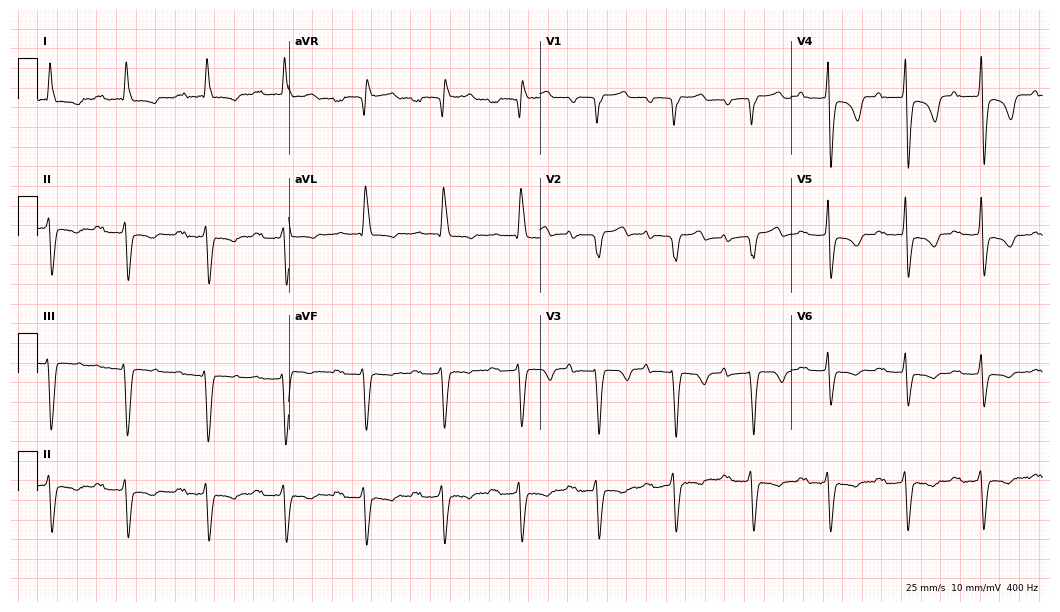
12-lead ECG from an 82-year-old man (10.2-second recording at 400 Hz). No first-degree AV block, right bundle branch block, left bundle branch block, sinus bradycardia, atrial fibrillation or sinus tachycardia recorded for this tracing.